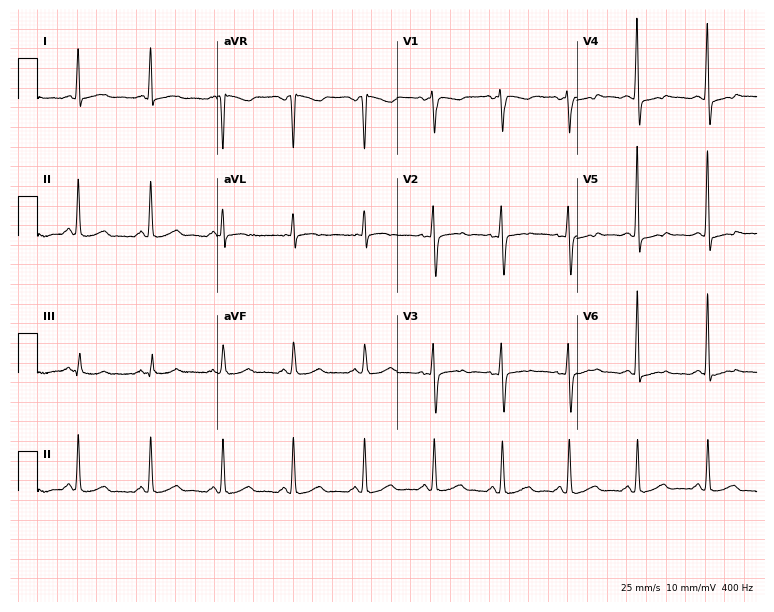
12-lead ECG from a 57-year-old female patient (7.3-second recording at 400 Hz). No first-degree AV block, right bundle branch block, left bundle branch block, sinus bradycardia, atrial fibrillation or sinus tachycardia recorded for this tracing. Other findings, if any, are not listed.